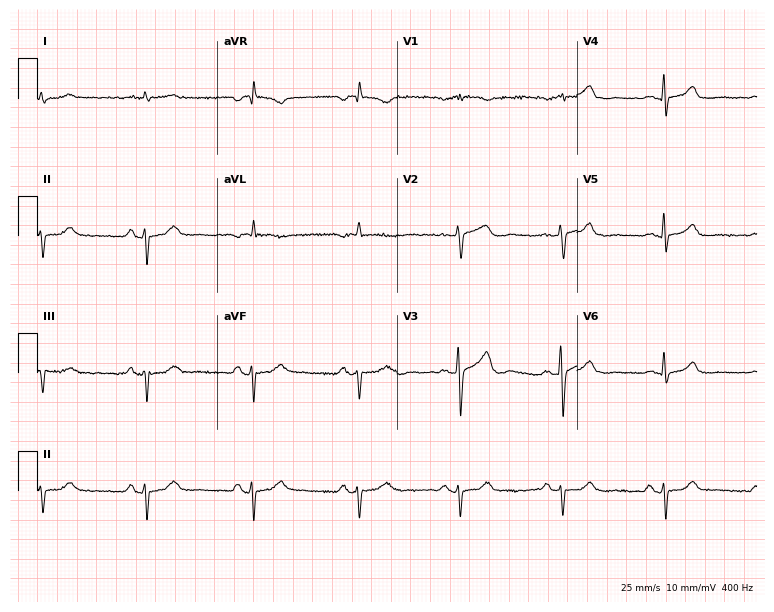
12-lead ECG from a male patient, 64 years old (7.3-second recording at 400 Hz). No first-degree AV block, right bundle branch block (RBBB), left bundle branch block (LBBB), sinus bradycardia, atrial fibrillation (AF) or sinus tachycardia recorded for this tracing. Other findings, if any, are not listed.